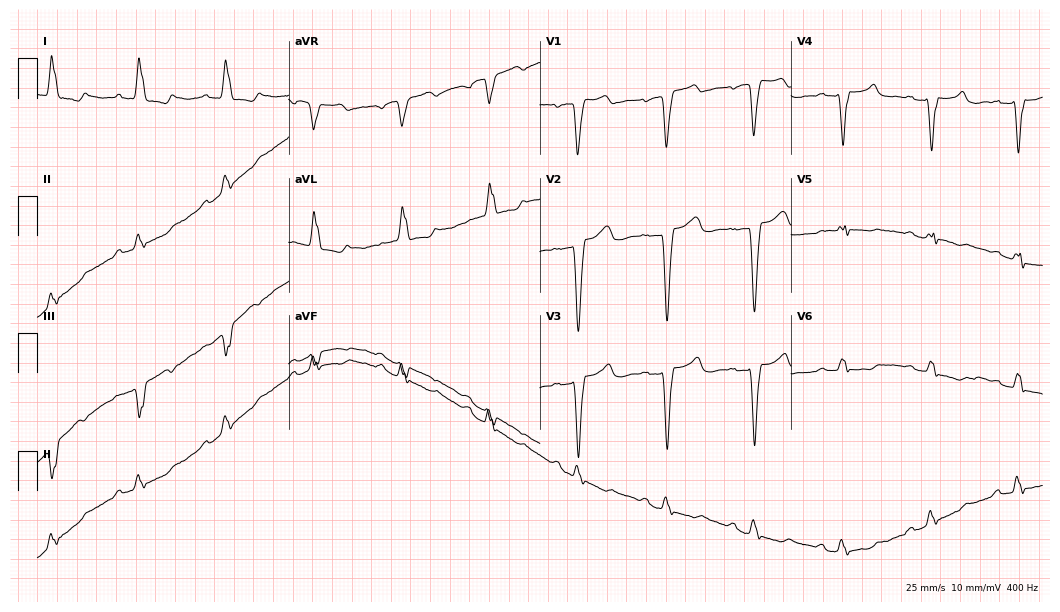
ECG — a female patient, 80 years old. Findings include left bundle branch block.